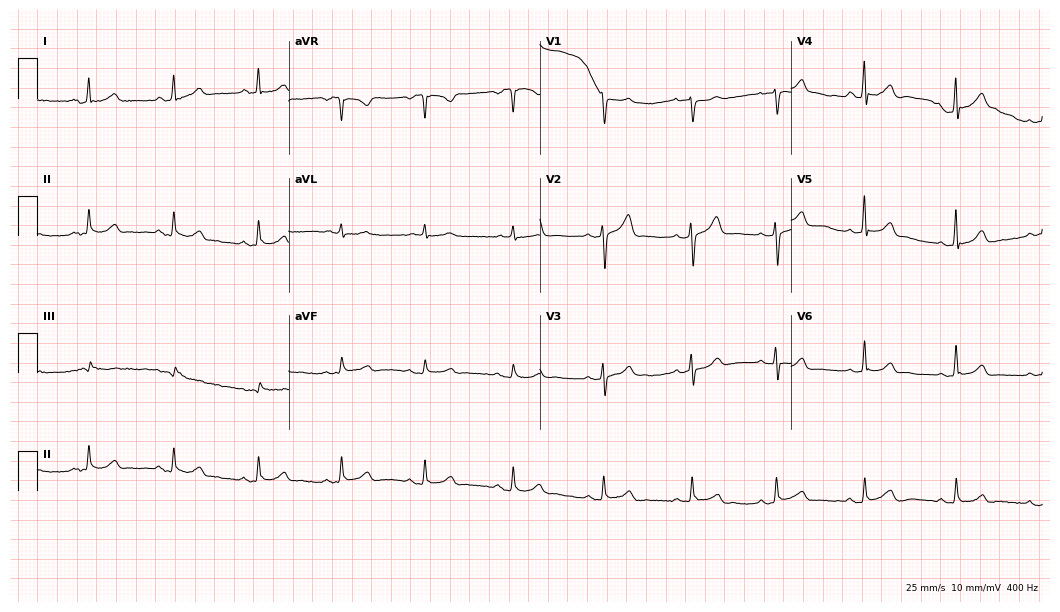
Standard 12-lead ECG recorded from a woman, 73 years old. Read as a normal ECG.